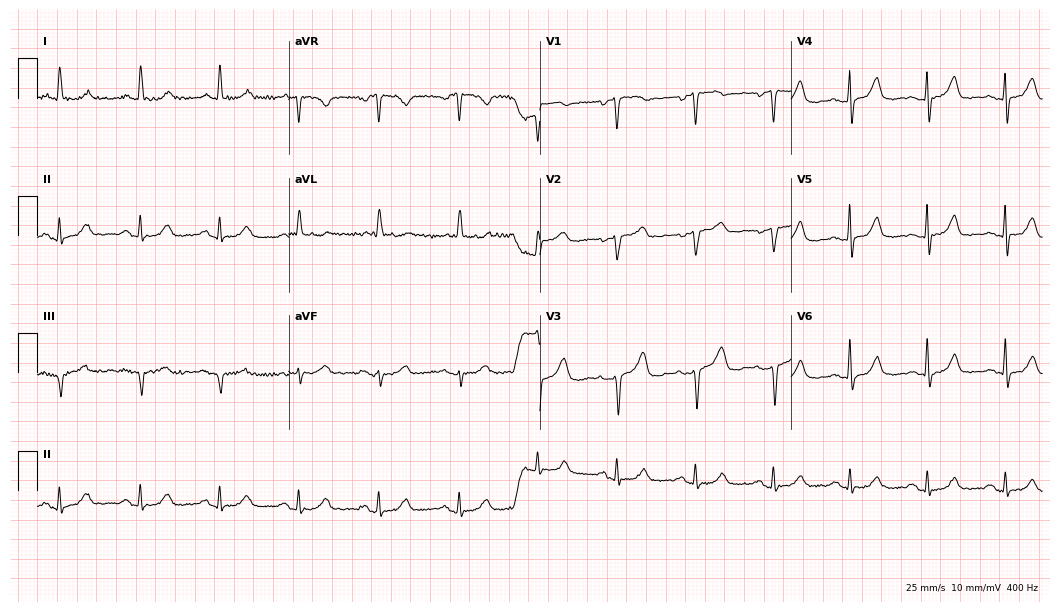
12-lead ECG from a 78-year-old female patient. Recorded interpretation: within normal limits.